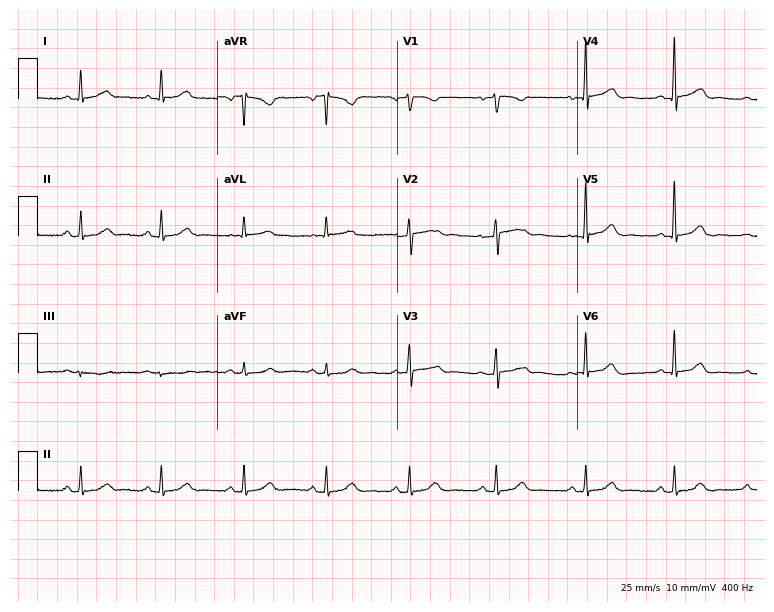
12-lead ECG from a 64-year-old female. Screened for six findings — first-degree AV block, right bundle branch block, left bundle branch block, sinus bradycardia, atrial fibrillation, sinus tachycardia — none is recorded.